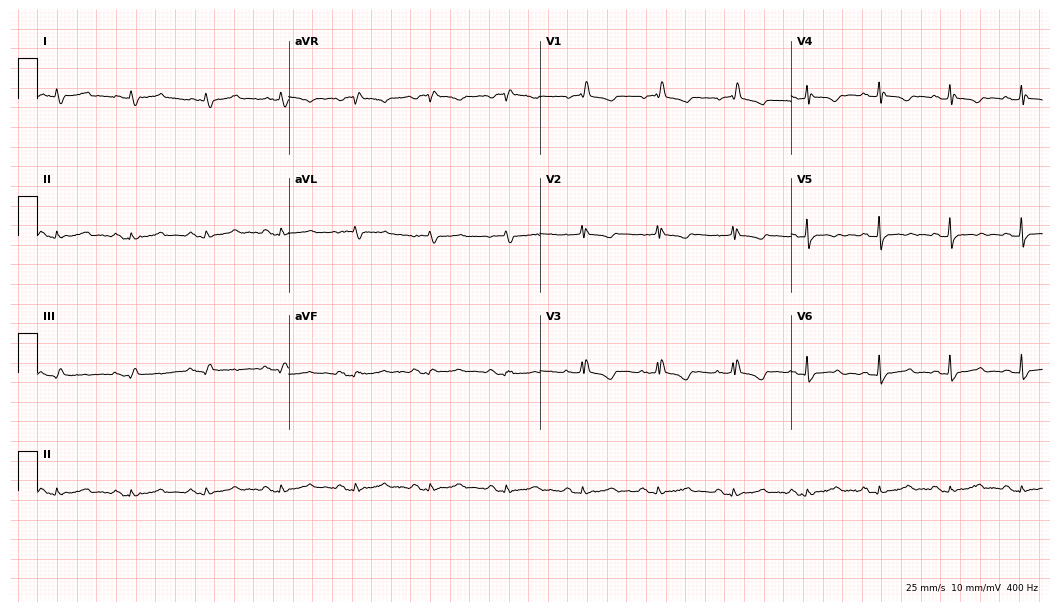
12-lead ECG from a 77-year-old woman. Screened for six findings — first-degree AV block, right bundle branch block, left bundle branch block, sinus bradycardia, atrial fibrillation, sinus tachycardia — none is recorded. Findings outside these six are not listed.